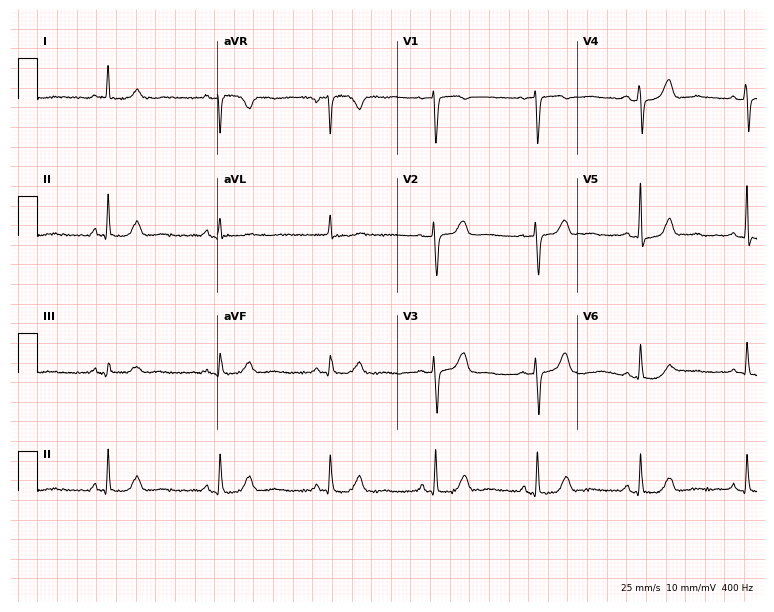
12-lead ECG from a female, 66 years old. No first-degree AV block, right bundle branch block, left bundle branch block, sinus bradycardia, atrial fibrillation or sinus tachycardia recorded for this tracing. Only these six findings were labelled.